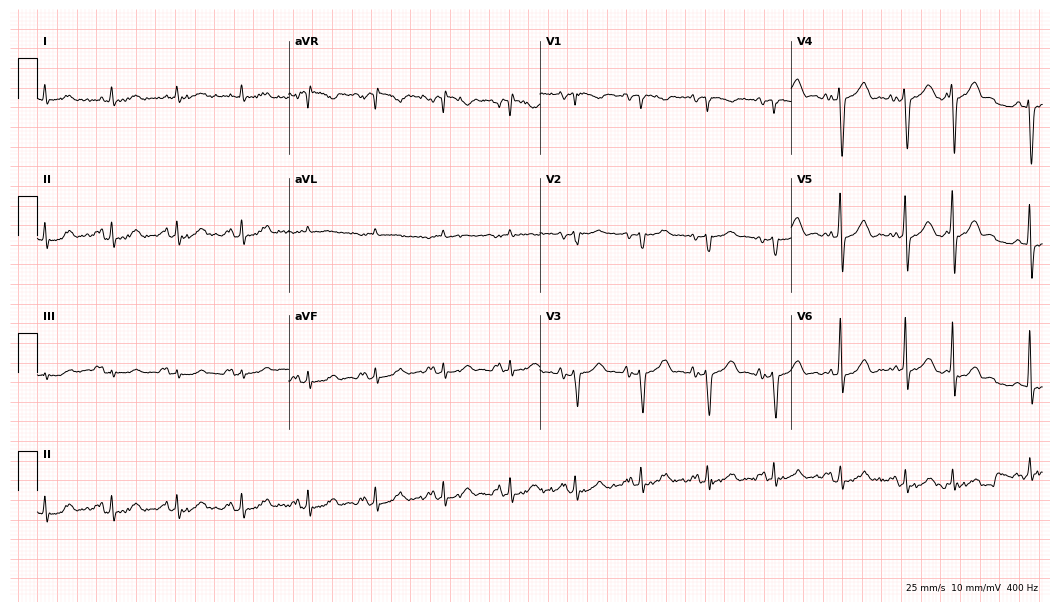
ECG (10.2-second recording at 400 Hz) — a 79-year-old man. Screened for six findings — first-degree AV block, right bundle branch block, left bundle branch block, sinus bradycardia, atrial fibrillation, sinus tachycardia — none is recorded. Only these six findings were labelled.